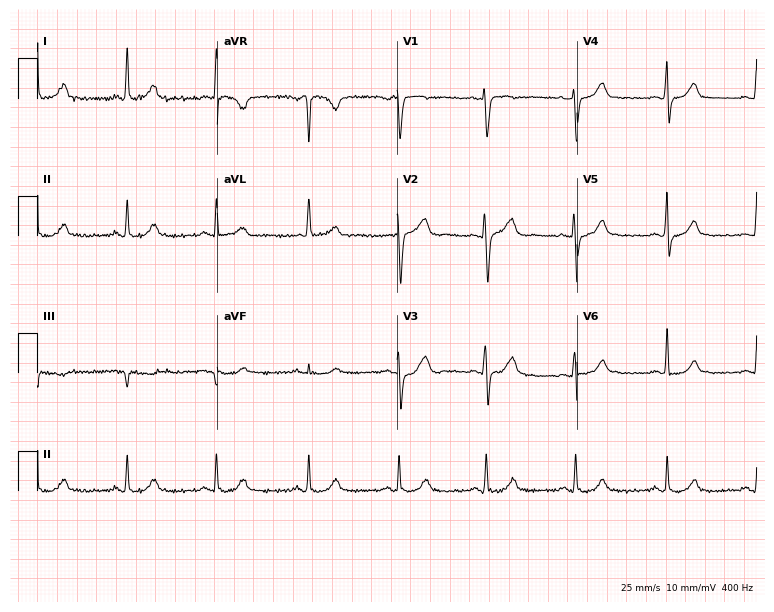
12-lead ECG from a female, 43 years old. No first-degree AV block, right bundle branch block, left bundle branch block, sinus bradycardia, atrial fibrillation or sinus tachycardia recorded for this tracing.